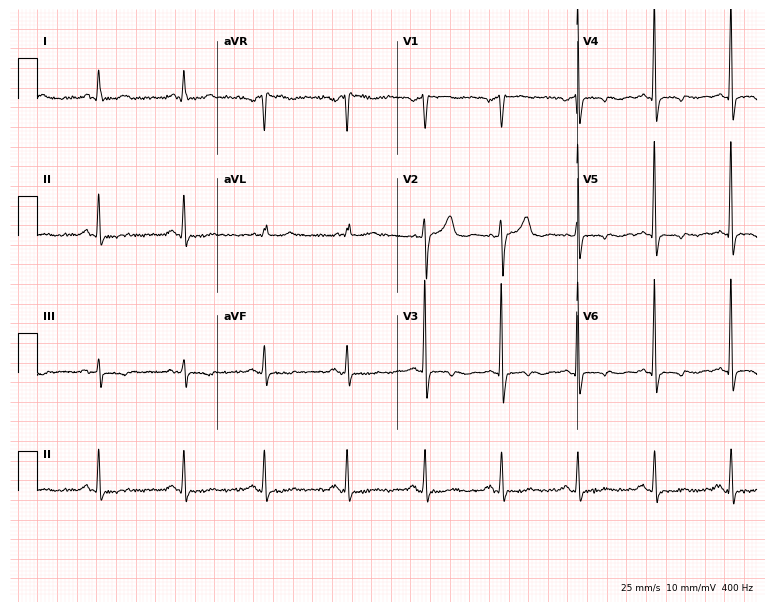
12-lead ECG (7.3-second recording at 400 Hz) from a 51-year-old female patient. Screened for six findings — first-degree AV block, right bundle branch block, left bundle branch block, sinus bradycardia, atrial fibrillation, sinus tachycardia — none is recorded. Other findings, if any, are not listed.